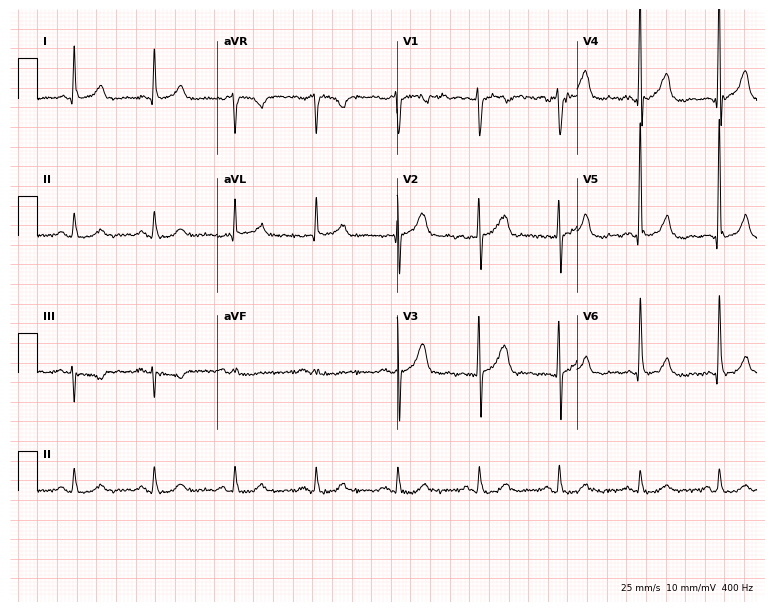
ECG (7.3-second recording at 400 Hz) — a man, 69 years old. Screened for six findings — first-degree AV block, right bundle branch block, left bundle branch block, sinus bradycardia, atrial fibrillation, sinus tachycardia — none is recorded.